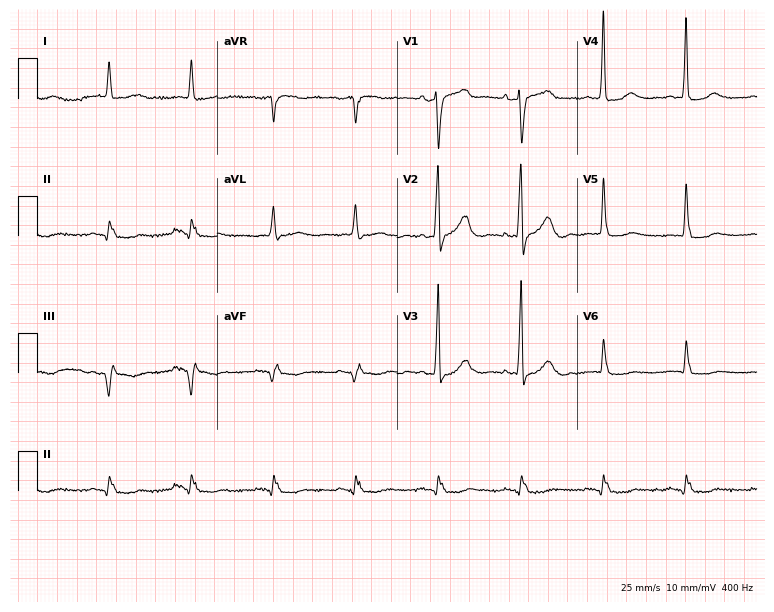
Resting 12-lead electrocardiogram (7.3-second recording at 400 Hz). Patient: a 76-year-old man. None of these six findings is recorded: first-degree AV block, right bundle branch block, left bundle branch block, sinus bradycardia, atrial fibrillation, sinus tachycardia. Other findings, if any, are not listed.